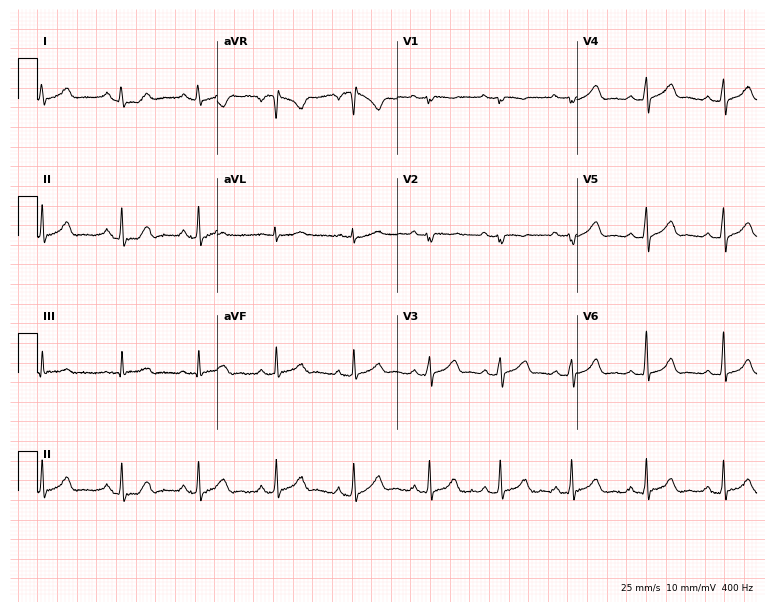
Standard 12-lead ECG recorded from a 21-year-old woman (7.3-second recording at 400 Hz). None of these six findings is recorded: first-degree AV block, right bundle branch block, left bundle branch block, sinus bradycardia, atrial fibrillation, sinus tachycardia.